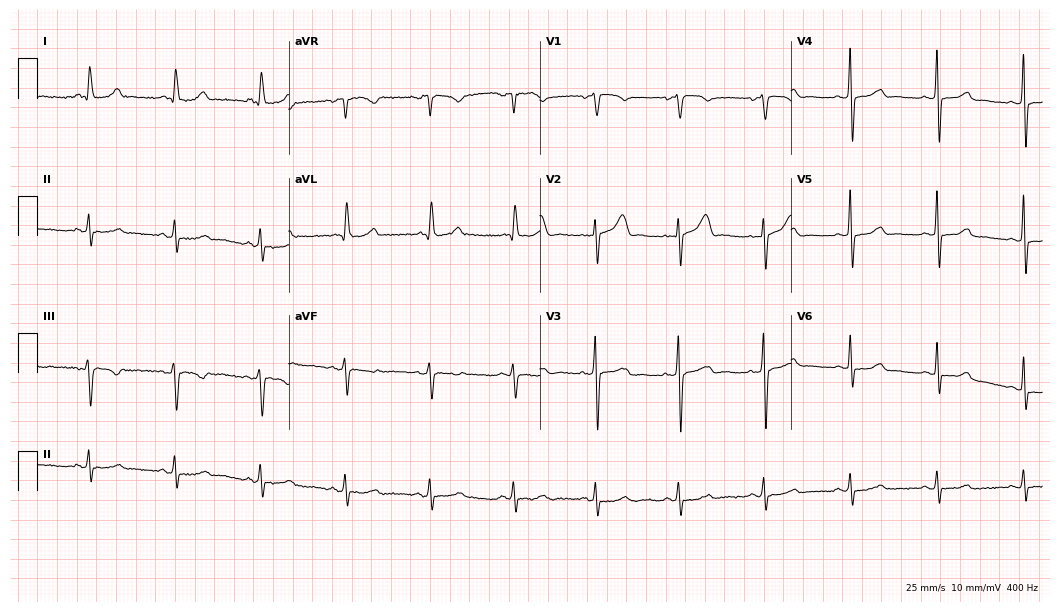
12-lead ECG from a female, 60 years old. Labelled as a normal ECG.